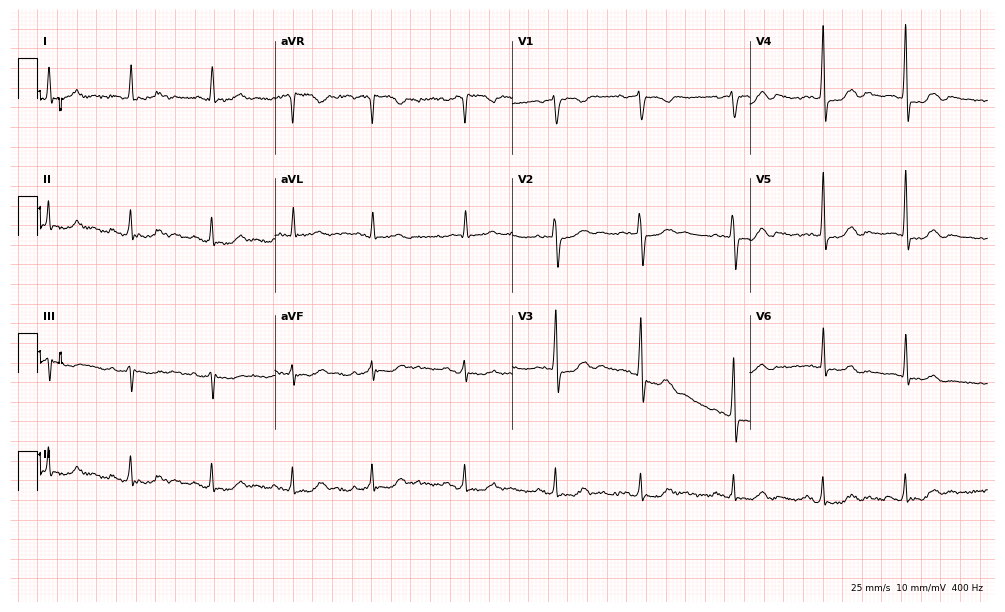
12-lead ECG from an 84-year-old male (9.7-second recording at 400 Hz). No first-degree AV block, right bundle branch block, left bundle branch block, sinus bradycardia, atrial fibrillation or sinus tachycardia recorded for this tracing. Only these six findings were labelled.